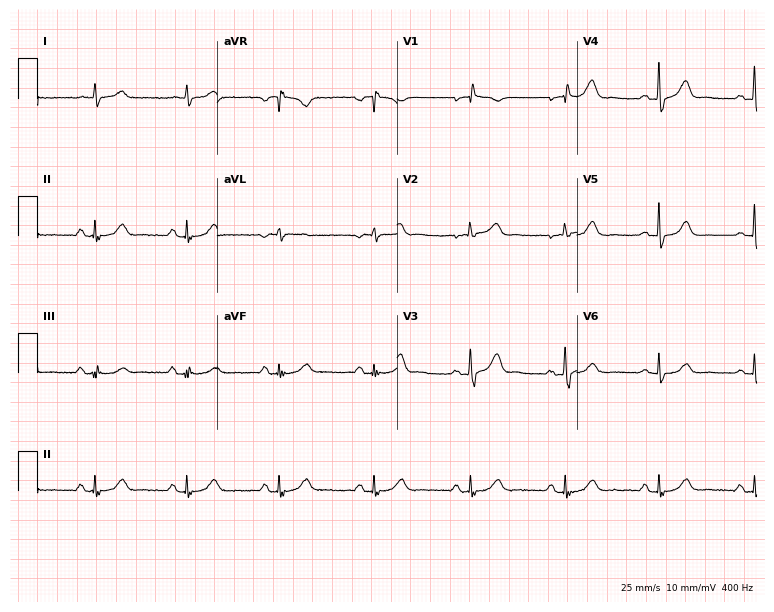
12-lead ECG (7.3-second recording at 400 Hz) from a man, 77 years old. Labelled as a normal ECG.